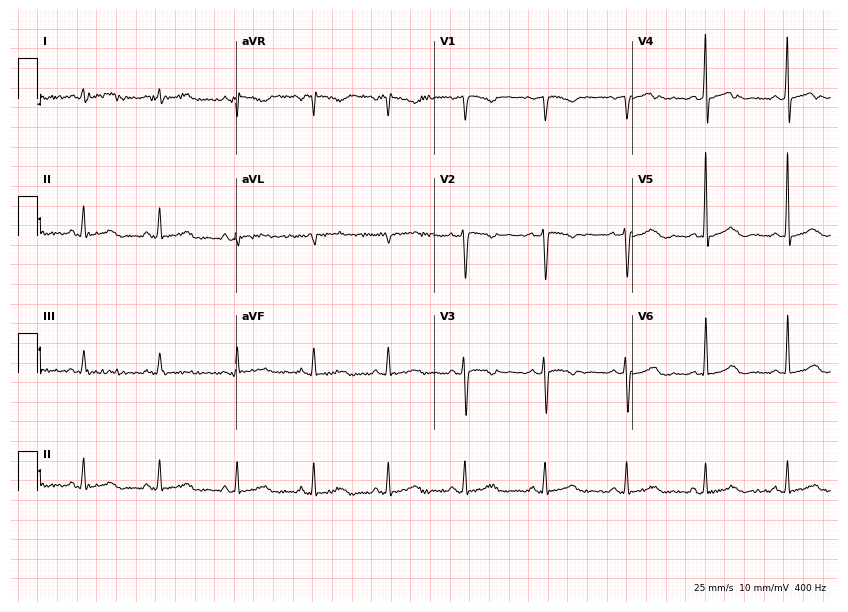
Resting 12-lead electrocardiogram (8.1-second recording at 400 Hz). Patient: a female, 38 years old. Read as a normal ECG.